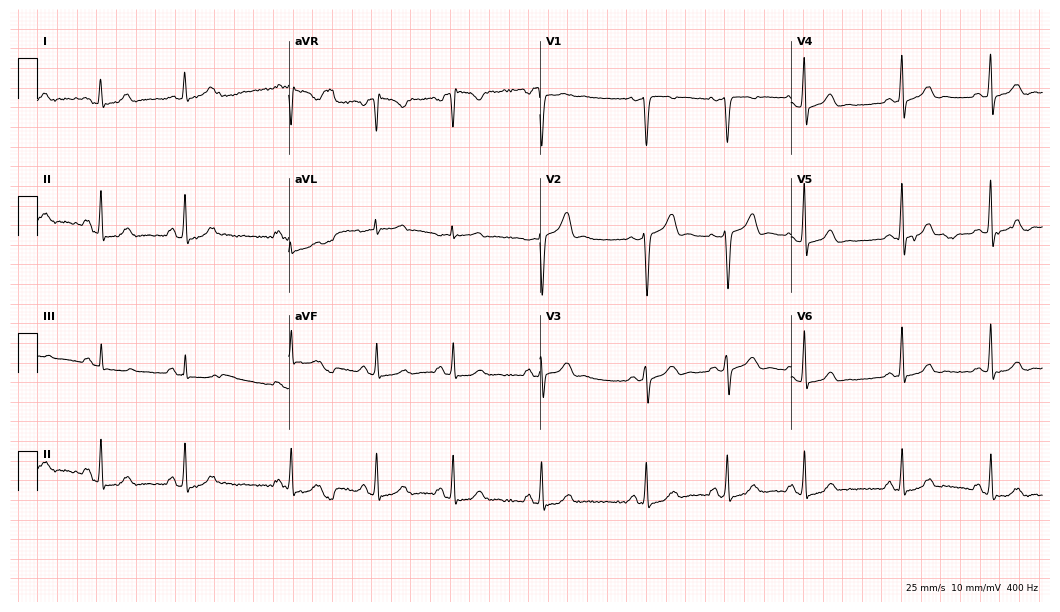
ECG (10.2-second recording at 400 Hz) — a 44-year-old female patient. Screened for six findings — first-degree AV block, right bundle branch block, left bundle branch block, sinus bradycardia, atrial fibrillation, sinus tachycardia — none is recorded.